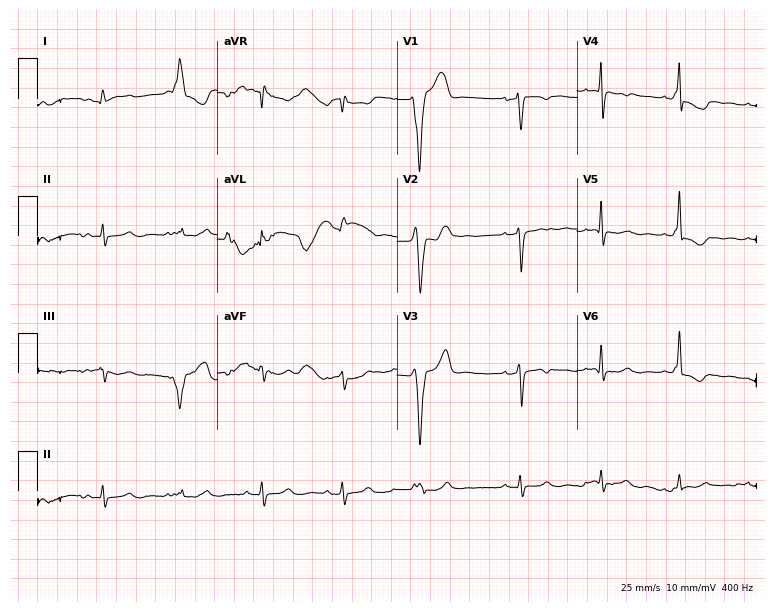
12-lead ECG (7.3-second recording at 400 Hz) from a 27-year-old woman. Screened for six findings — first-degree AV block, right bundle branch block, left bundle branch block, sinus bradycardia, atrial fibrillation, sinus tachycardia — none is recorded.